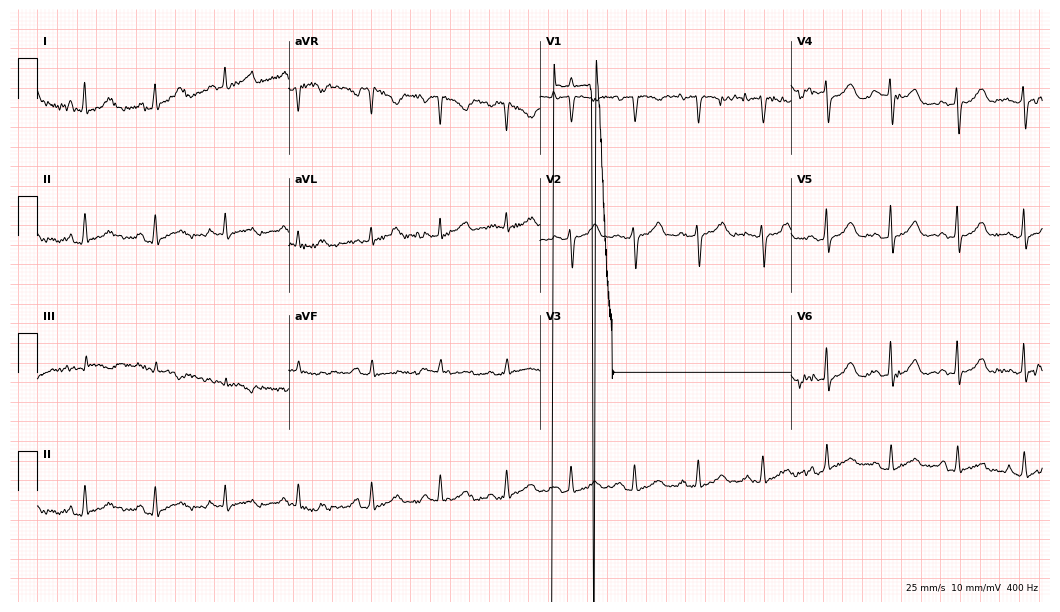
12-lead ECG (10.2-second recording at 400 Hz) from a female, 29 years old. Screened for six findings — first-degree AV block, right bundle branch block, left bundle branch block, sinus bradycardia, atrial fibrillation, sinus tachycardia — none is recorded.